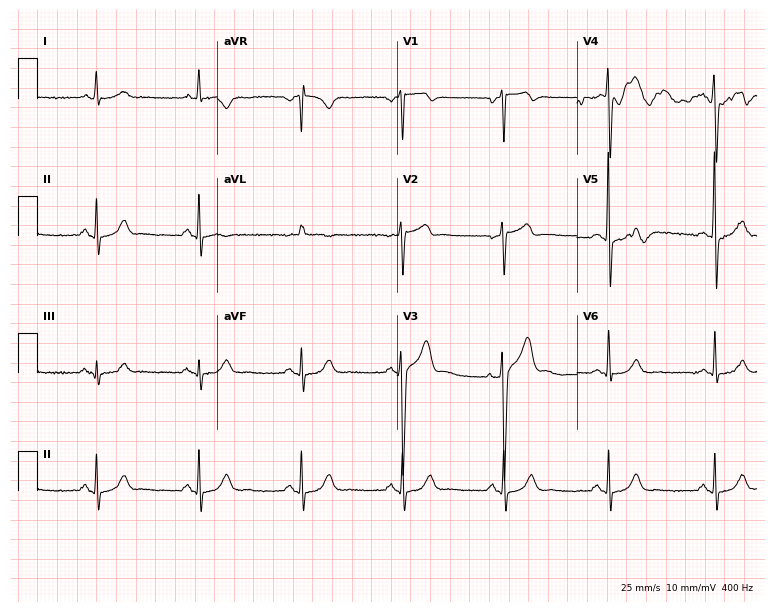
12-lead ECG from a 64-year-old man. No first-degree AV block, right bundle branch block (RBBB), left bundle branch block (LBBB), sinus bradycardia, atrial fibrillation (AF) or sinus tachycardia recorded for this tracing.